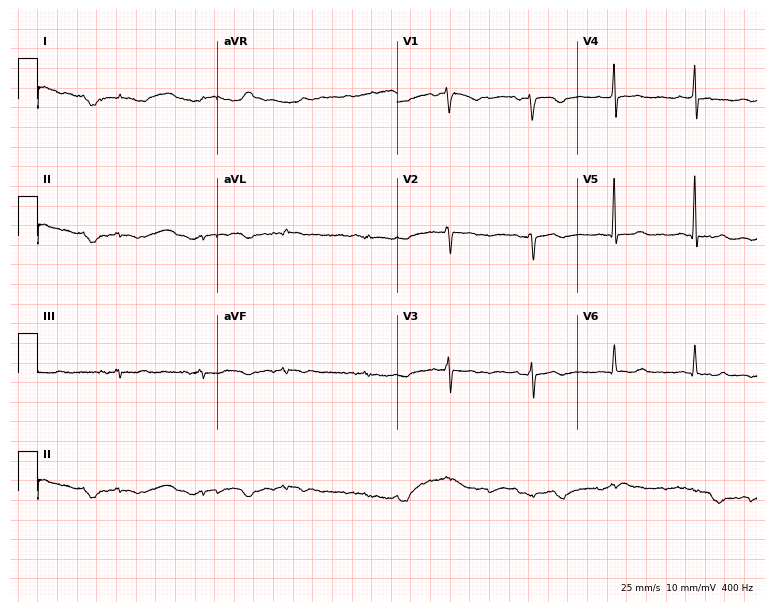
12-lead ECG from a female patient, 73 years old. No first-degree AV block, right bundle branch block, left bundle branch block, sinus bradycardia, atrial fibrillation or sinus tachycardia recorded for this tracing. Other findings, if any, are not listed.